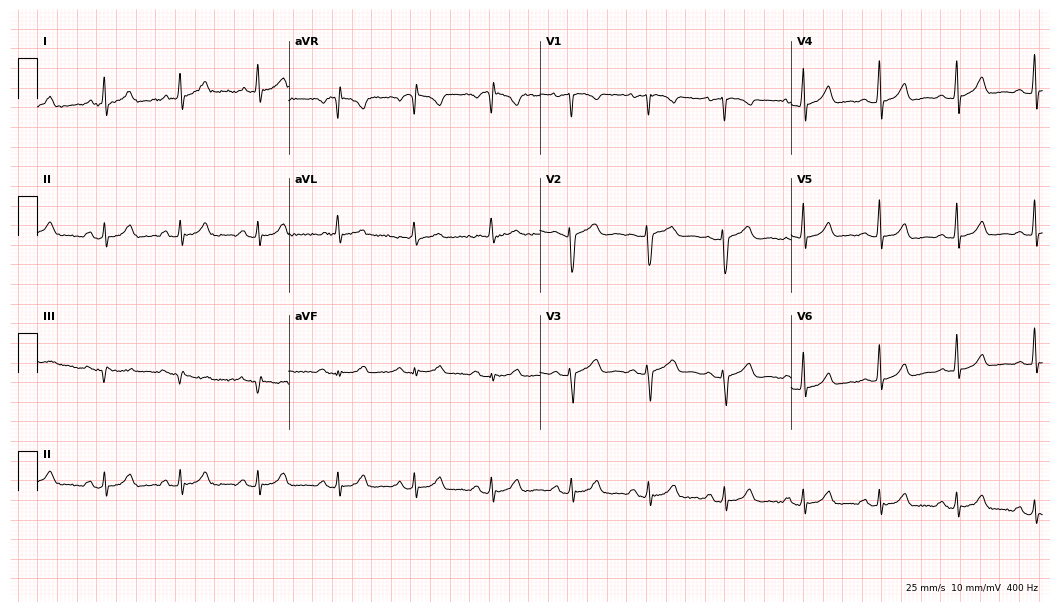
ECG (10.2-second recording at 400 Hz) — a 55-year-old woman. Screened for six findings — first-degree AV block, right bundle branch block, left bundle branch block, sinus bradycardia, atrial fibrillation, sinus tachycardia — none is recorded. Only these six findings were labelled.